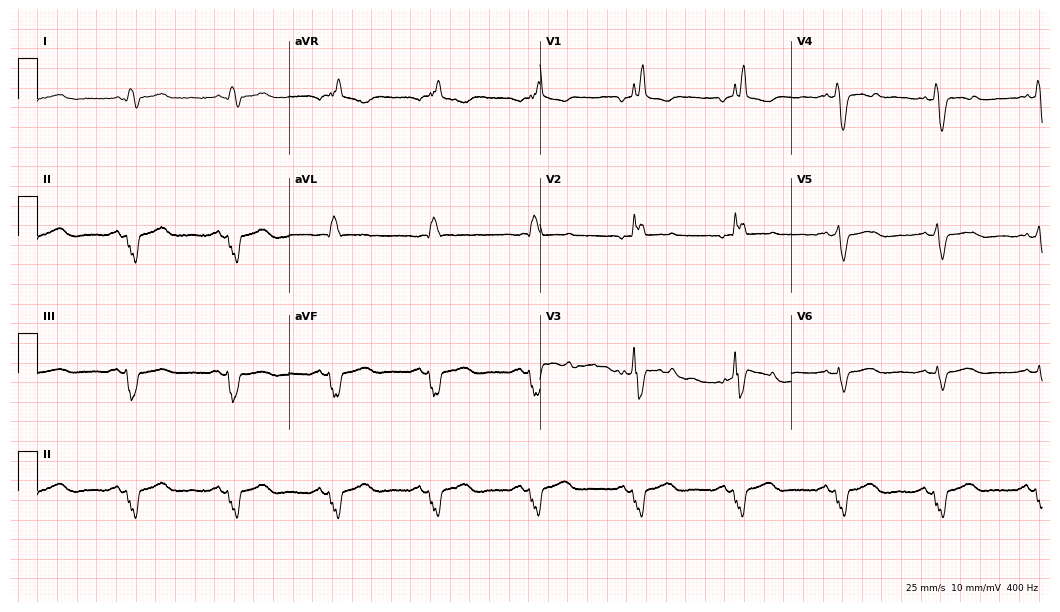
Electrocardiogram, a 66-year-old male patient. Of the six screened findings (first-degree AV block, right bundle branch block, left bundle branch block, sinus bradycardia, atrial fibrillation, sinus tachycardia), none is recorded. Other findings, if any, are not listed.